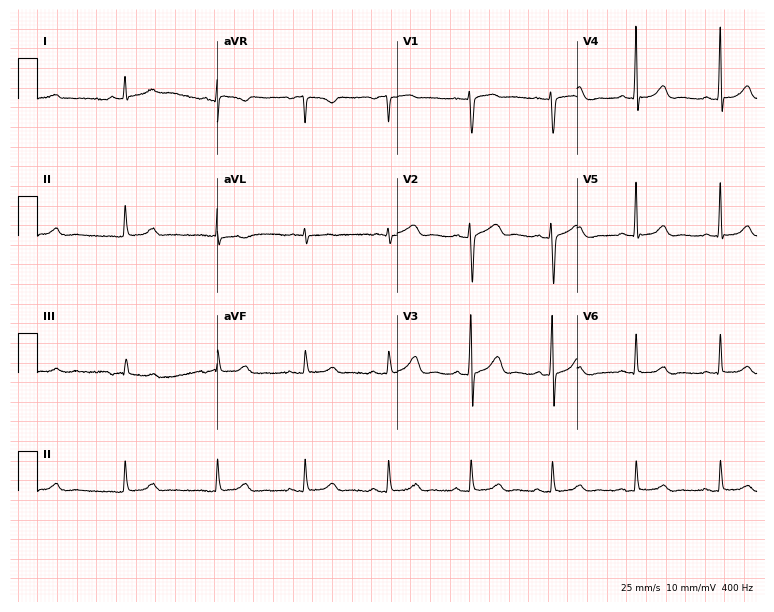
Standard 12-lead ECG recorded from a female patient, 29 years old (7.3-second recording at 400 Hz). Read as a normal ECG.